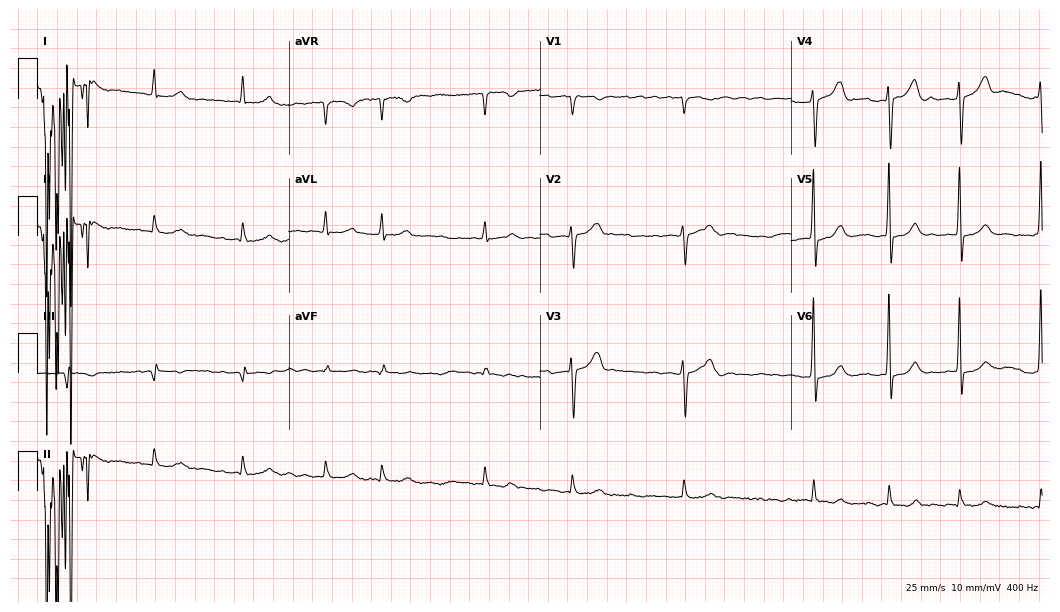
Electrocardiogram, a male, 81 years old. Interpretation includes atrial fibrillation.